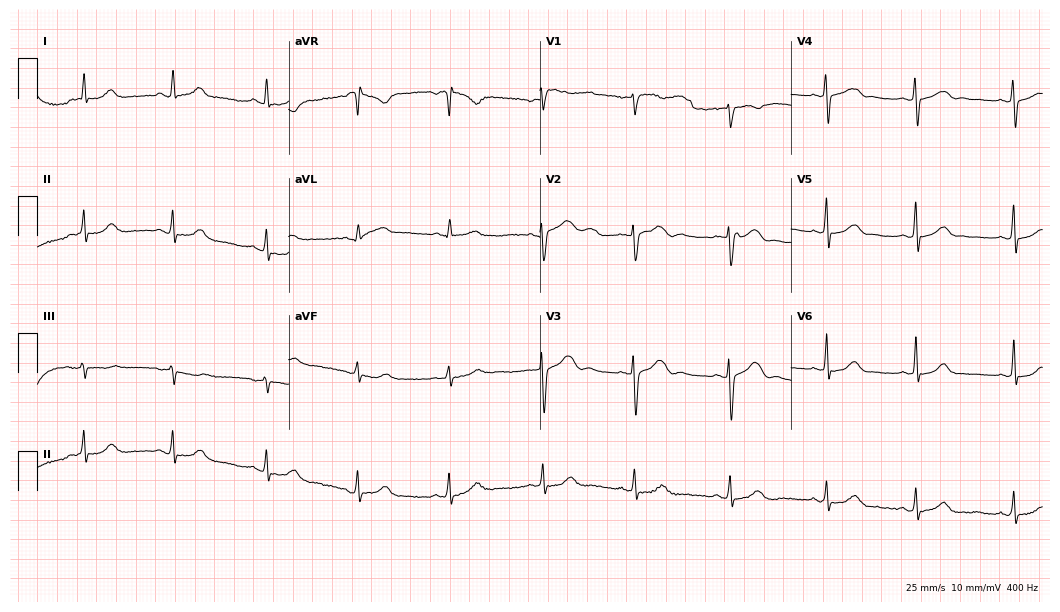
Electrocardiogram (10.2-second recording at 400 Hz), a 23-year-old female patient. Overall reading on record: normal ECG.